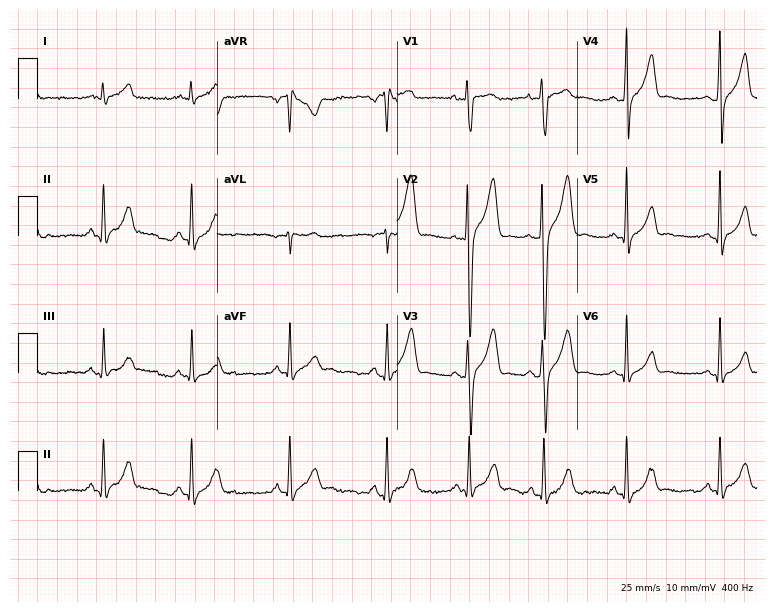
12-lead ECG from a man, 22 years old. No first-degree AV block, right bundle branch block, left bundle branch block, sinus bradycardia, atrial fibrillation or sinus tachycardia recorded for this tracing. Other findings, if any, are not listed.